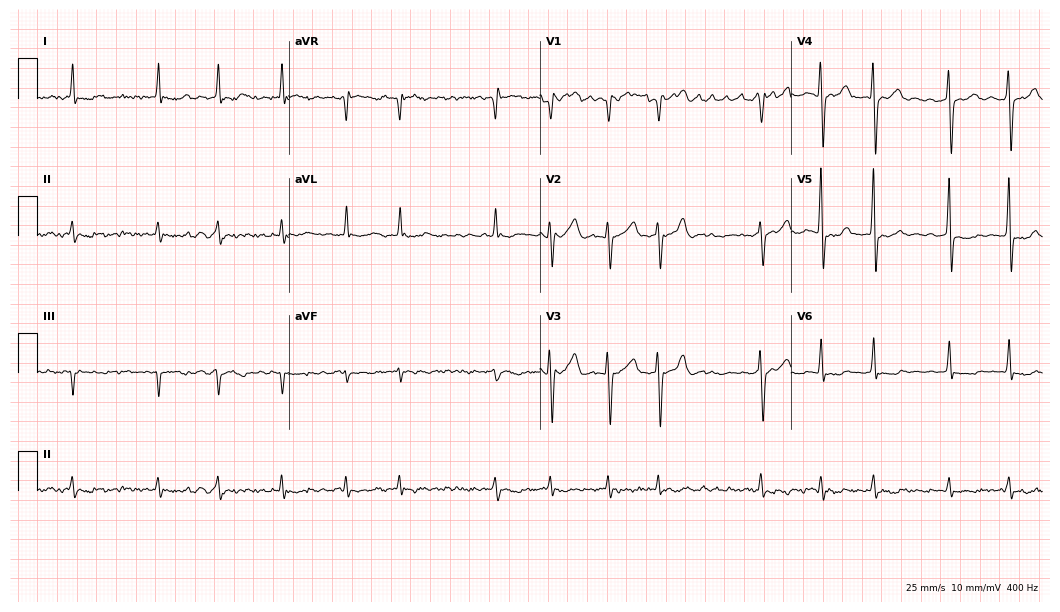
ECG — a 71-year-old male. Findings include atrial fibrillation (AF).